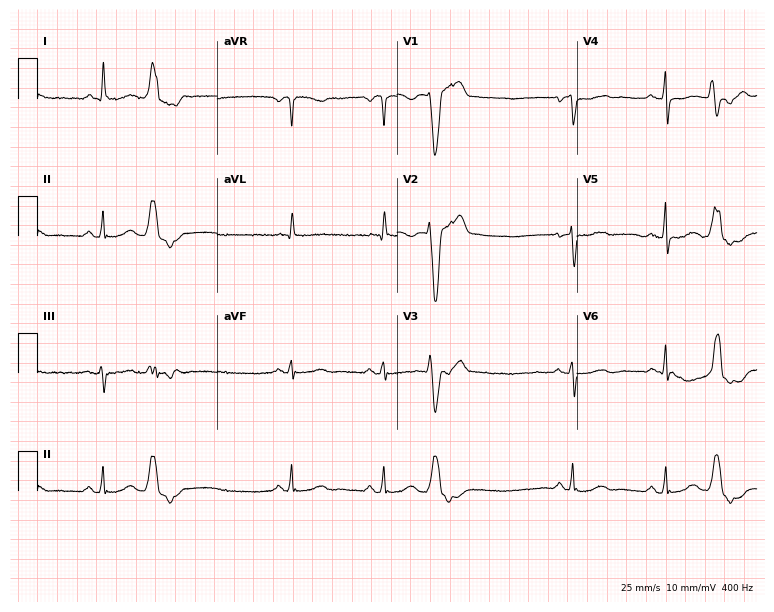
Standard 12-lead ECG recorded from a female patient, 72 years old. None of these six findings is recorded: first-degree AV block, right bundle branch block, left bundle branch block, sinus bradycardia, atrial fibrillation, sinus tachycardia. Only these six findings were labelled.